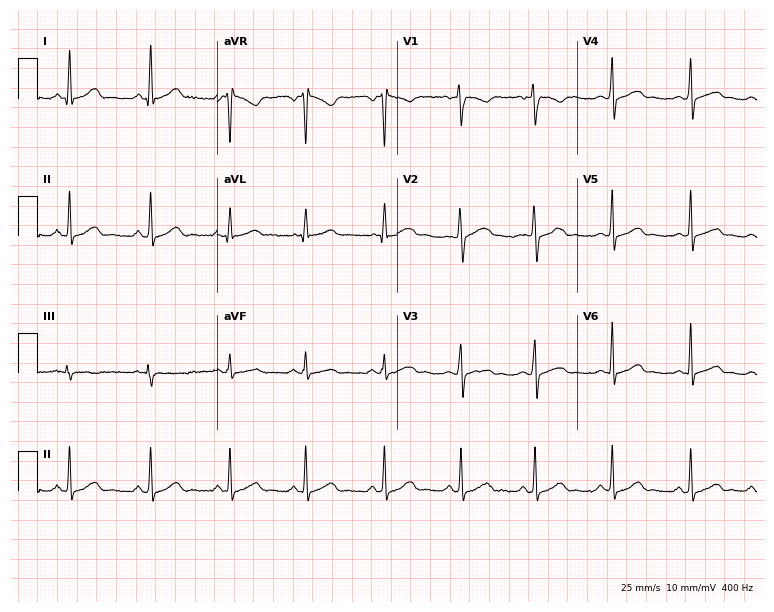
Resting 12-lead electrocardiogram. Patient: a 26-year-old female. Read as a normal ECG.